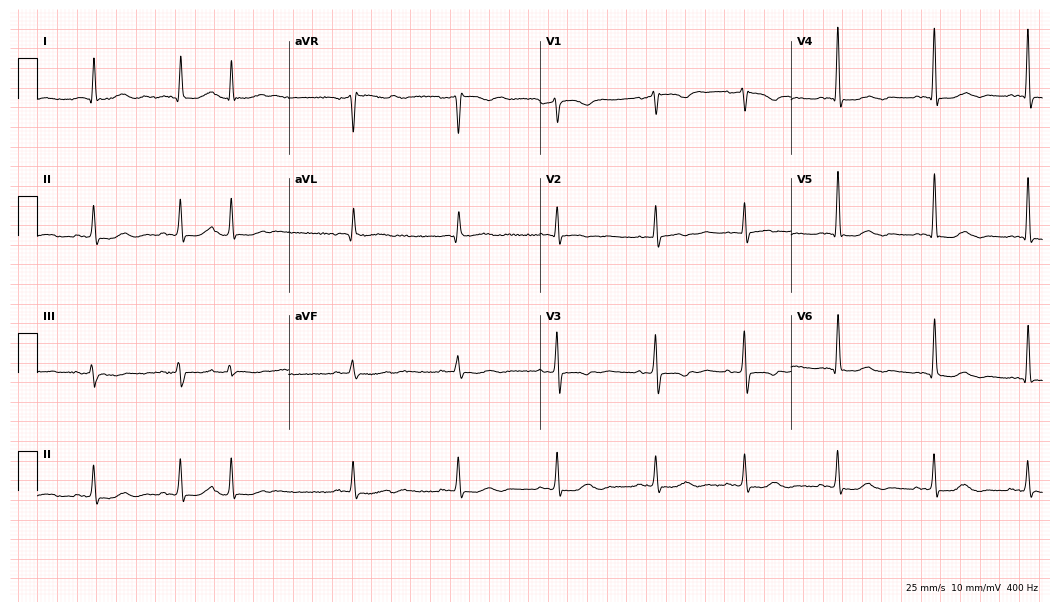
Electrocardiogram, a 70-year-old female. Of the six screened findings (first-degree AV block, right bundle branch block (RBBB), left bundle branch block (LBBB), sinus bradycardia, atrial fibrillation (AF), sinus tachycardia), none is recorded.